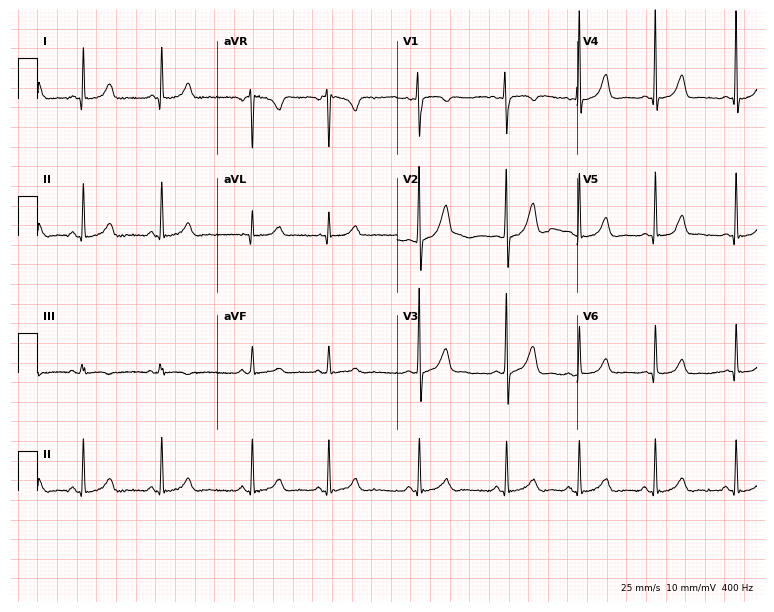
Electrocardiogram (7.3-second recording at 400 Hz), a woman, 20 years old. Overall reading on record: normal ECG.